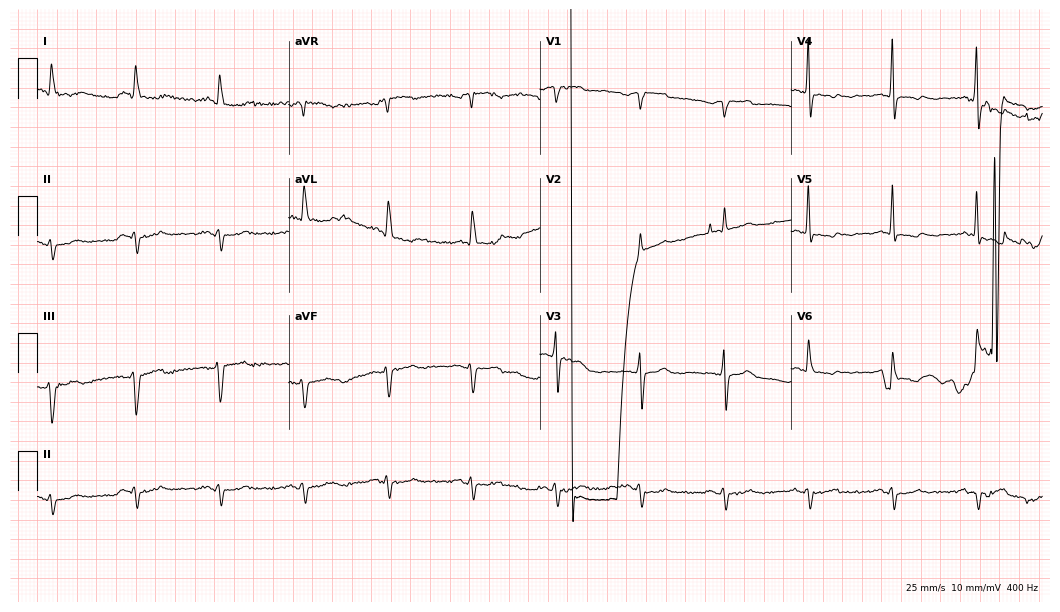
ECG (10.2-second recording at 400 Hz) — a man, 70 years old. Findings include atrial fibrillation (AF).